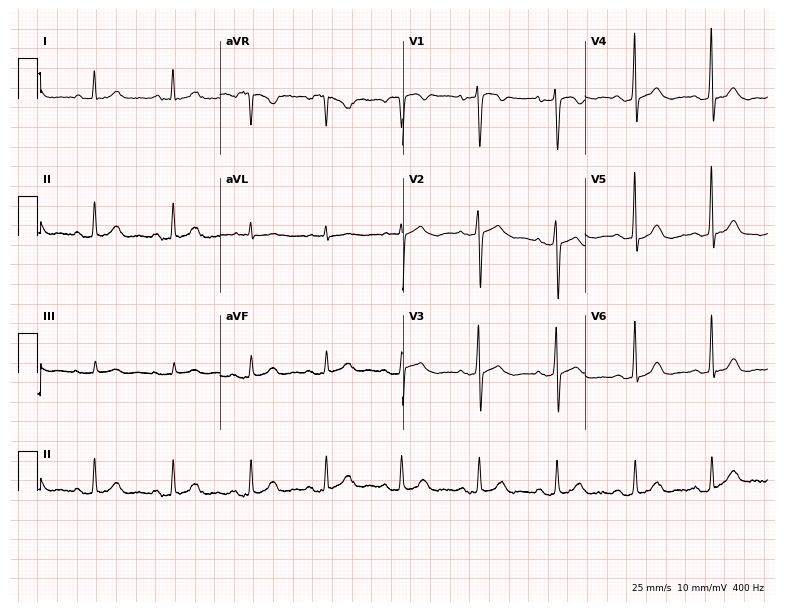
12-lead ECG from a male patient, 49 years old. Screened for six findings — first-degree AV block, right bundle branch block, left bundle branch block, sinus bradycardia, atrial fibrillation, sinus tachycardia — none is recorded.